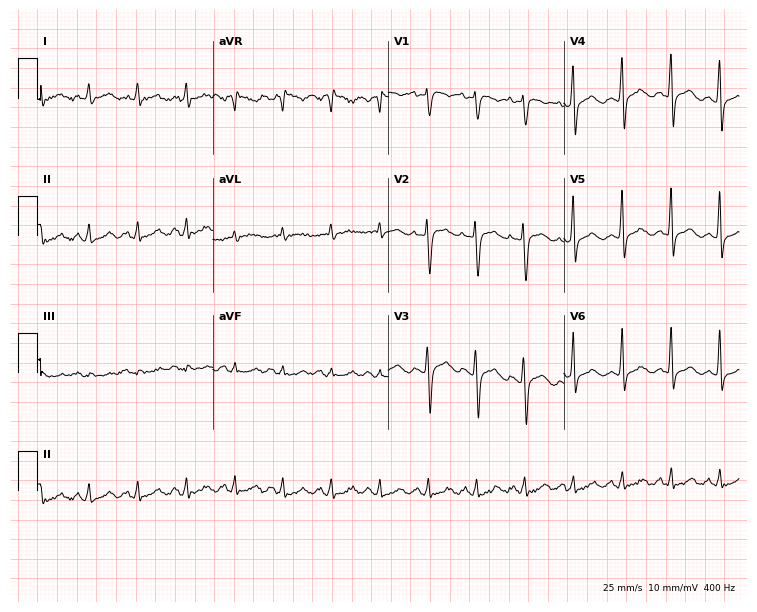
12-lead ECG (7.2-second recording at 400 Hz) from a female, 53 years old. Screened for six findings — first-degree AV block, right bundle branch block, left bundle branch block, sinus bradycardia, atrial fibrillation, sinus tachycardia — none is recorded.